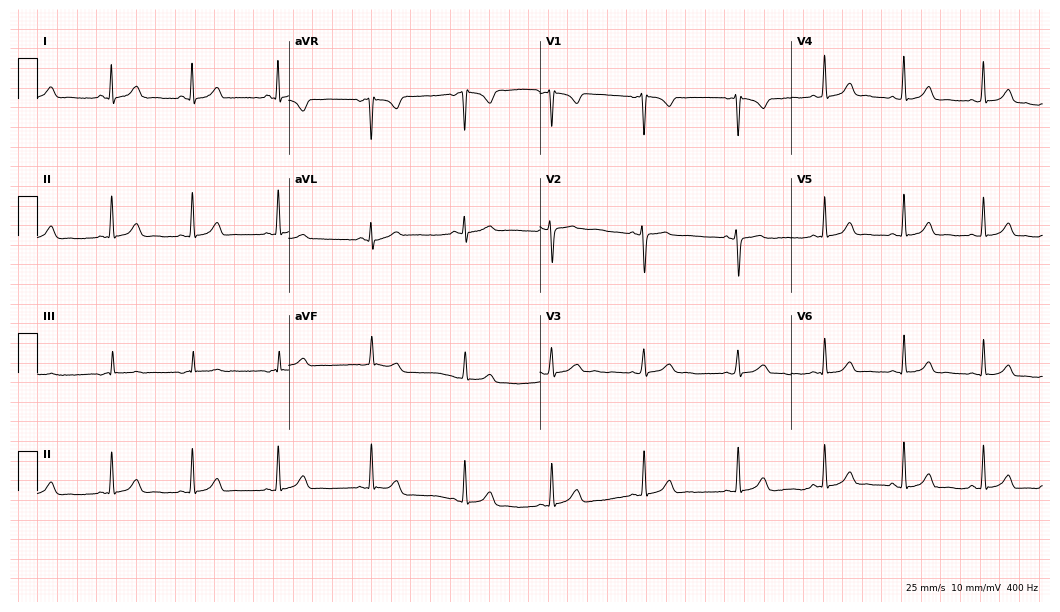
ECG — a female, 27 years old. Labelled as a normal ECG.